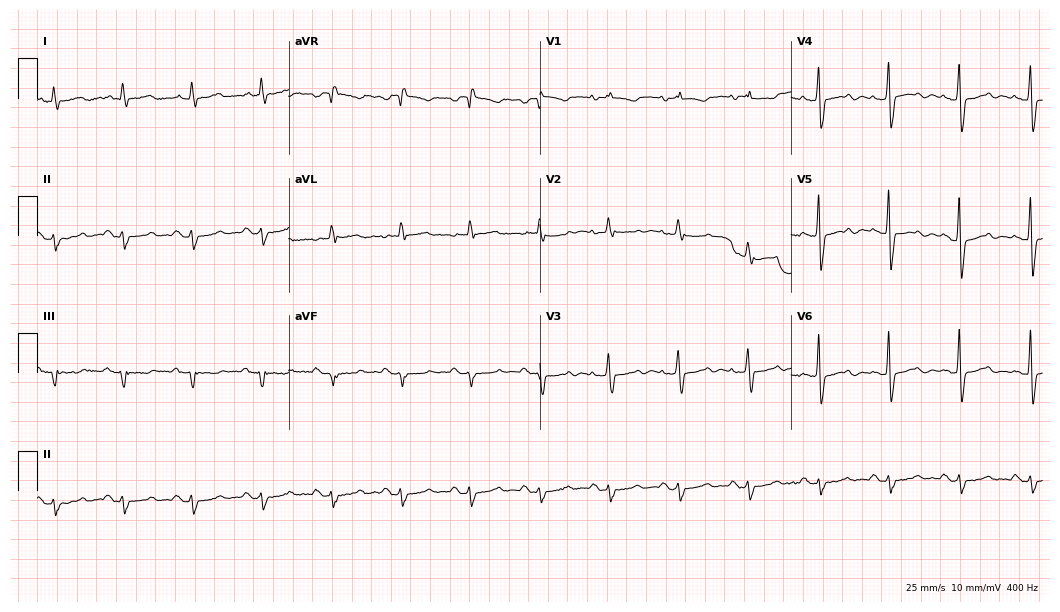
Resting 12-lead electrocardiogram. Patient: a man, 74 years old. None of these six findings is recorded: first-degree AV block, right bundle branch block (RBBB), left bundle branch block (LBBB), sinus bradycardia, atrial fibrillation (AF), sinus tachycardia.